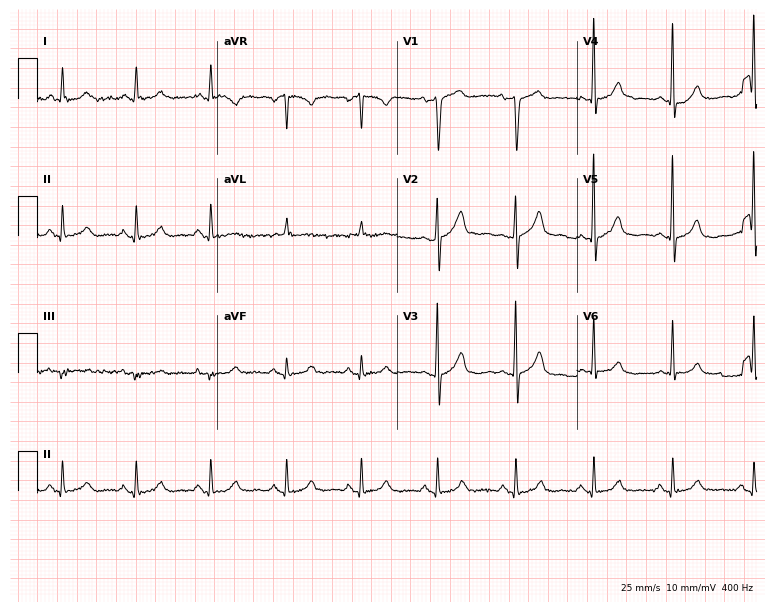
12-lead ECG (7.3-second recording at 400 Hz) from a 78-year-old male patient. Screened for six findings — first-degree AV block, right bundle branch block, left bundle branch block, sinus bradycardia, atrial fibrillation, sinus tachycardia — none is recorded. Findings outside these six are not listed.